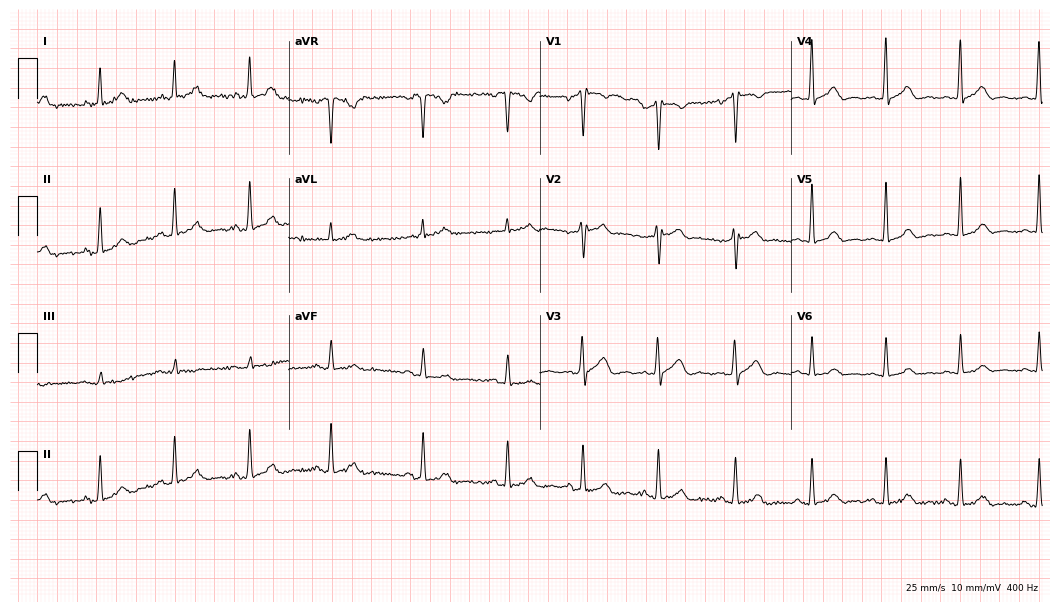
Standard 12-lead ECG recorded from a man, 43 years old. None of these six findings is recorded: first-degree AV block, right bundle branch block (RBBB), left bundle branch block (LBBB), sinus bradycardia, atrial fibrillation (AF), sinus tachycardia.